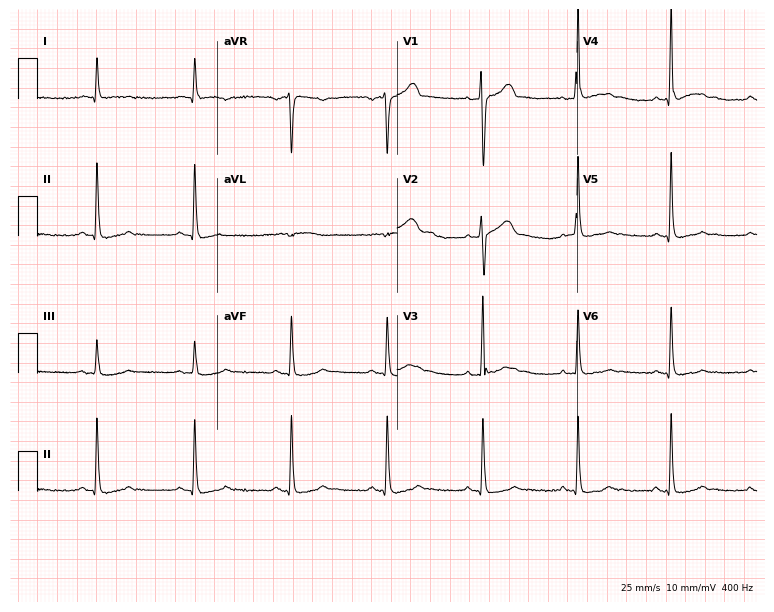
Electrocardiogram, a 71-year-old male patient. Overall reading on record: normal ECG.